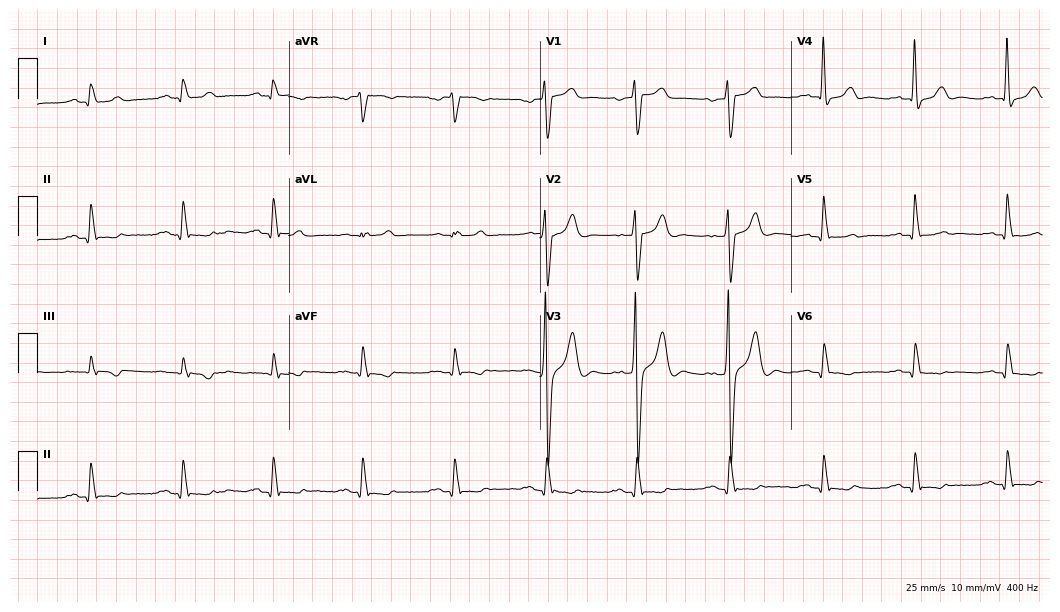
ECG — a male patient, 51 years old. Screened for six findings — first-degree AV block, right bundle branch block (RBBB), left bundle branch block (LBBB), sinus bradycardia, atrial fibrillation (AF), sinus tachycardia — none is recorded.